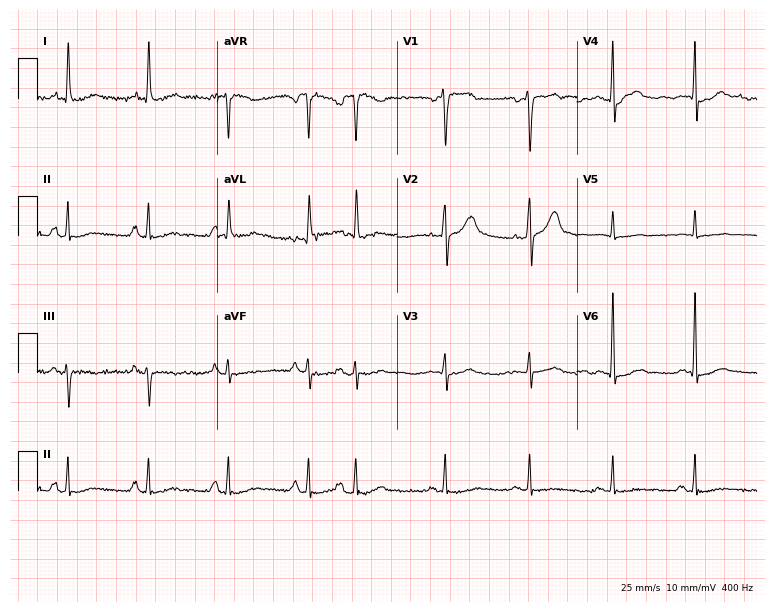
Electrocardiogram, a 66-year-old man. Of the six screened findings (first-degree AV block, right bundle branch block (RBBB), left bundle branch block (LBBB), sinus bradycardia, atrial fibrillation (AF), sinus tachycardia), none is recorded.